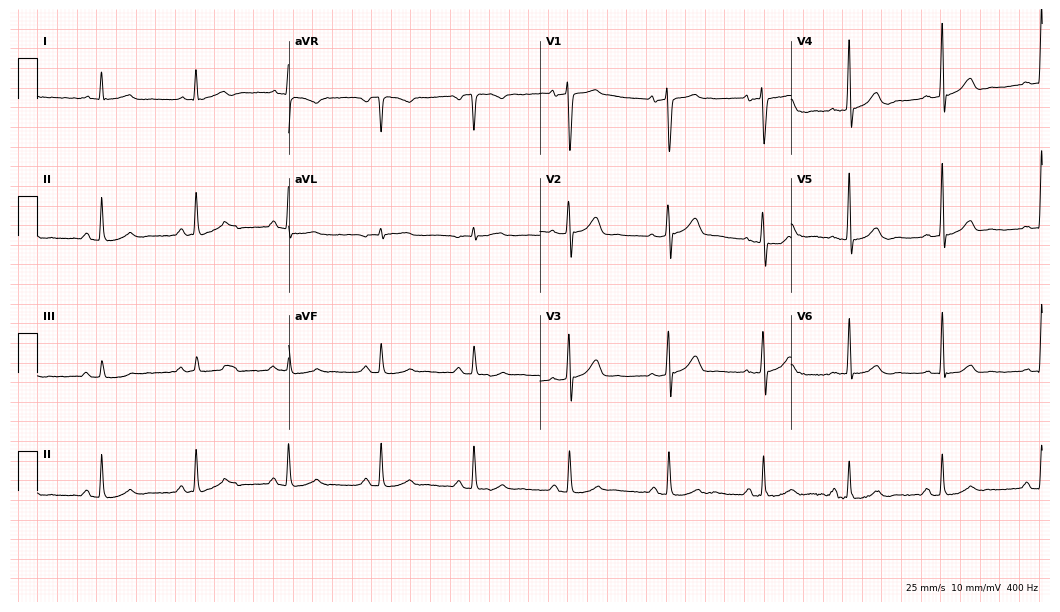
Standard 12-lead ECG recorded from a 67-year-old man (10.2-second recording at 400 Hz). Read as a normal ECG.